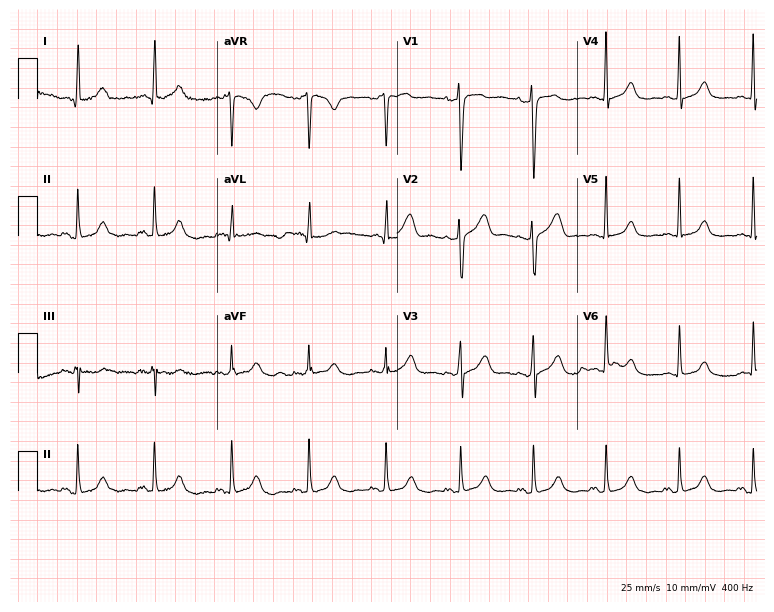
Resting 12-lead electrocardiogram (7.3-second recording at 400 Hz). Patient: a female, 45 years old. None of these six findings is recorded: first-degree AV block, right bundle branch block, left bundle branch block, sinus bradycardia, atrial fibrillation, sinus tachycardia. Findings outside these six are not listed.